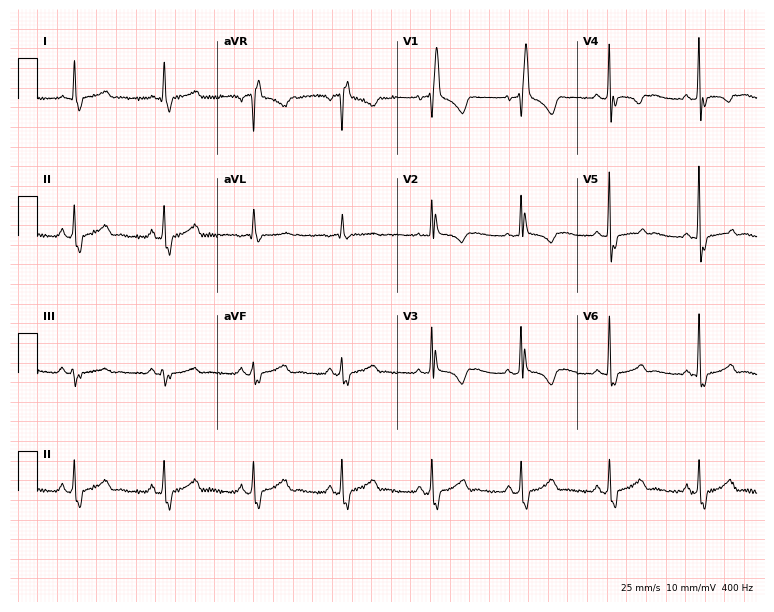
Standard 12-lead ECG recorded from a female patient, 57 years old. The tracing shows right bundle branch block (RBBB).